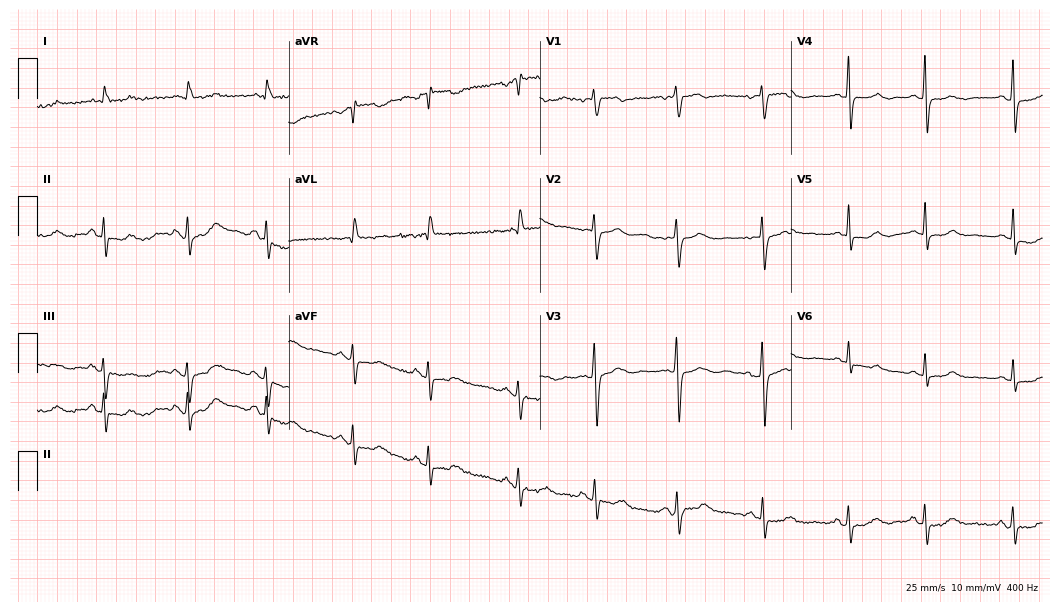
ECG — a 64-year-old female patient. Labelled as a normal ECG.